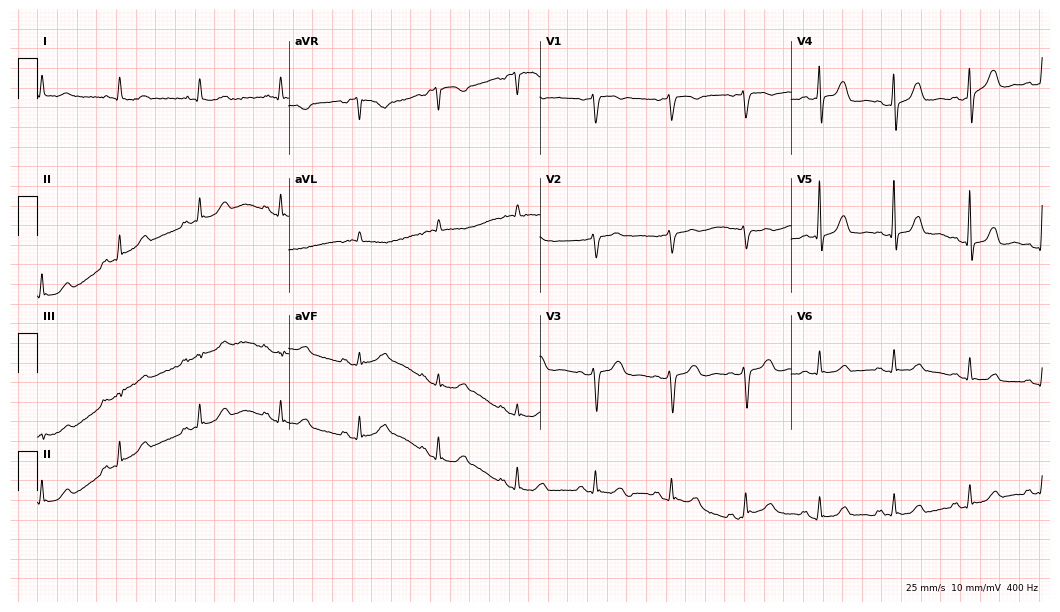
Standard 12-lead ECG recorded from a 74-year-old female (10.2-second recording at 400 Hz). Read as a normal ECG.